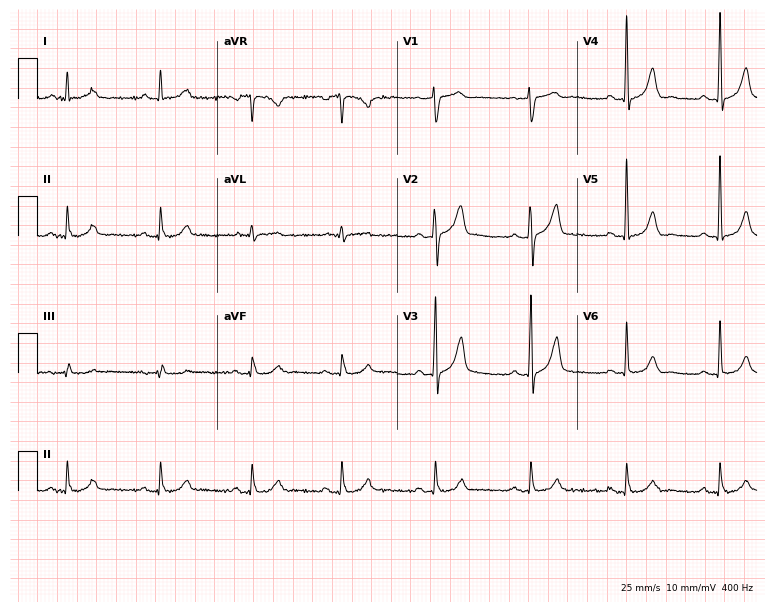
Electrocardiogram (7.3-second recording at 400 Hz), a 73-year-old man. Overall reading on record: normal ECG.